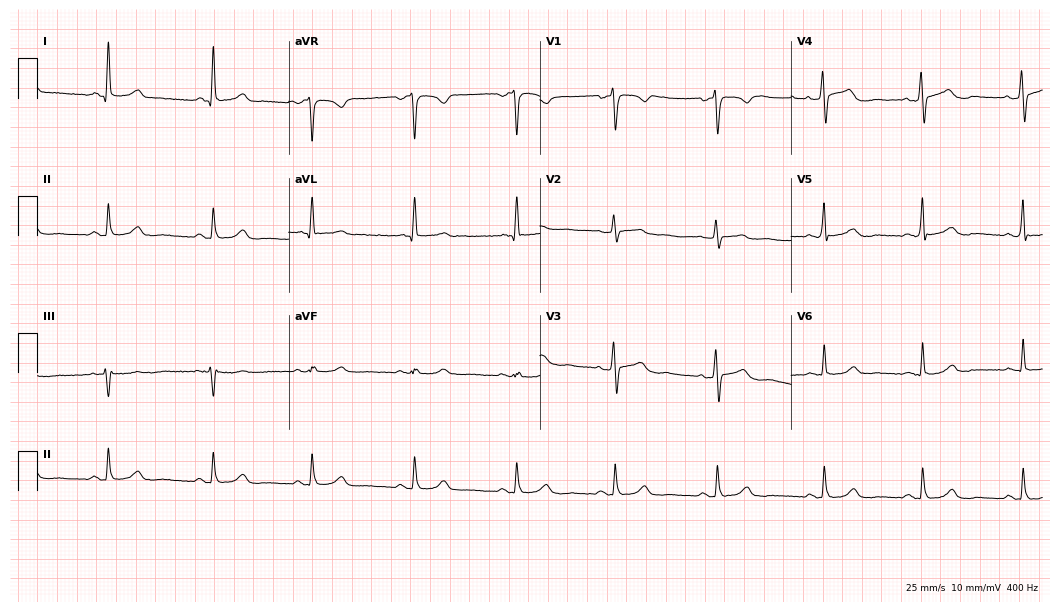
12-lead ECG (10.2-second recording at 400 Hz) from a female patient, 52 years old. Screened for six findings — first-degree AV block, right bundle branch block, left bundle branch block, sinus bradycardia, atrial fibrillation, sinus tachycardia — none is recorded. Findings outside these six are not listed.